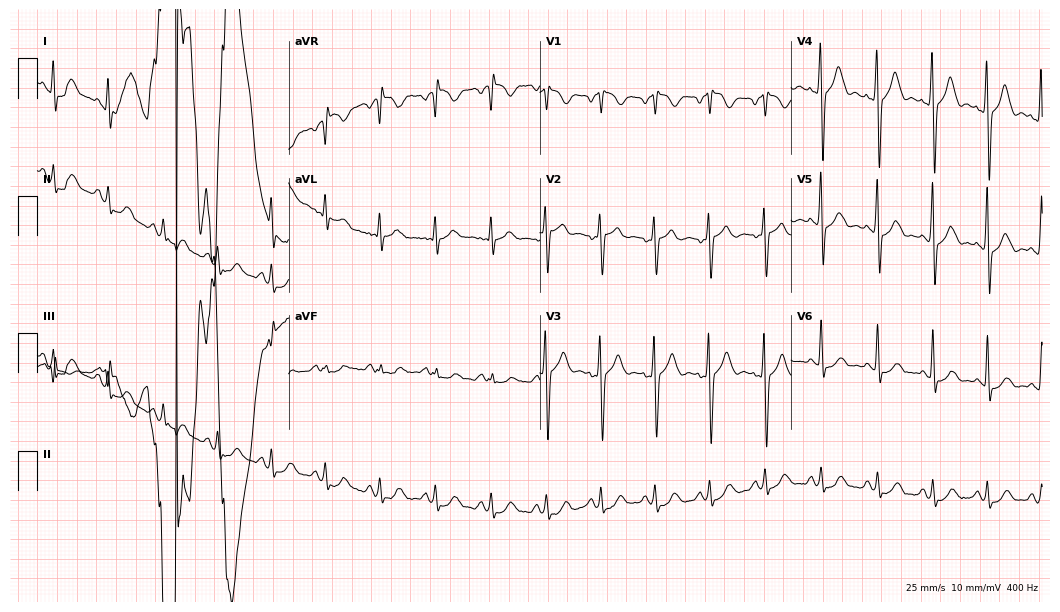
Electrocardiogram (10.2-second recording at 400 Hz), a male patient, 35 years old. Of the six screened findings (first-degree AV block, right bundle branch block, left bundle branch block, sinus bradycardia, atrial fibrillation, sinus tachycardia), none is recorded.